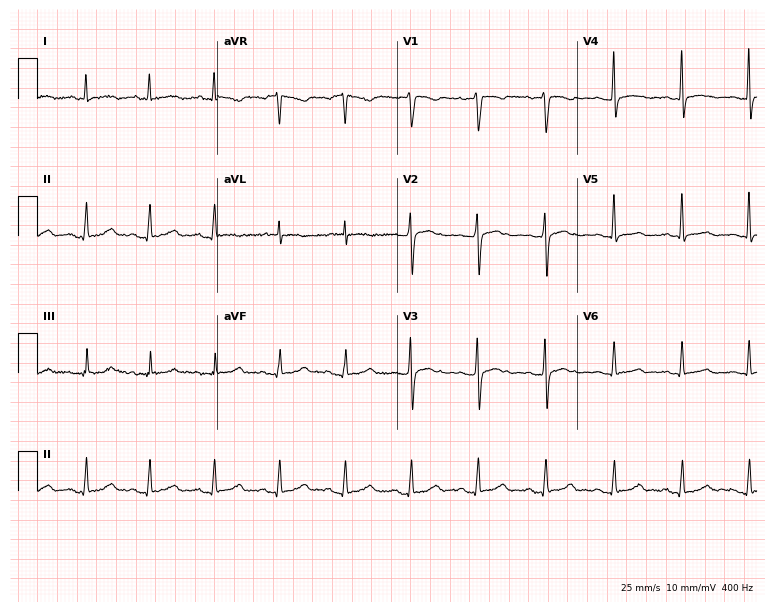
Electrocardiogram, a 50-year-old female. Of the six screened findings (first-degree AV block, right bundle branch block, left bundle branch block, sinus bradycardia, atrial fibrillation, sinus tachycardia), none is recorded. Only these six findings were labelled.